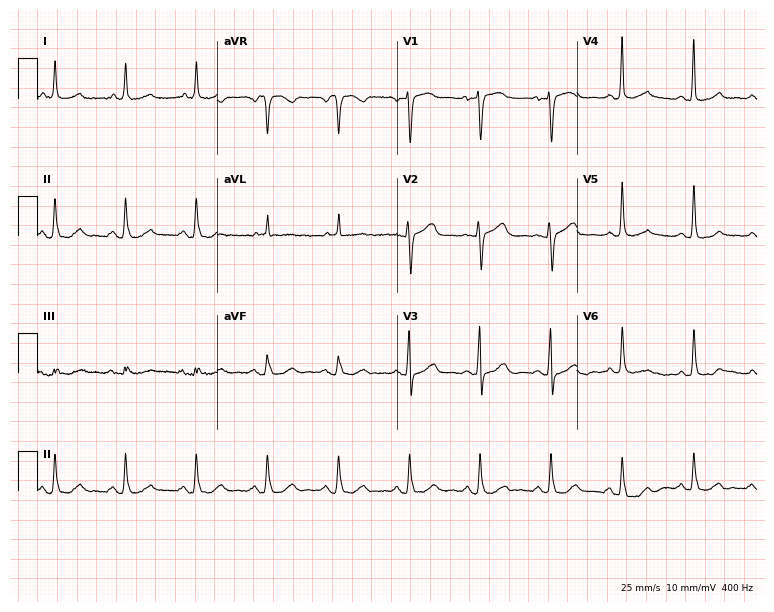
Electrocardiogram, a female, 73 years old. Overall reading on record: normal ECG.